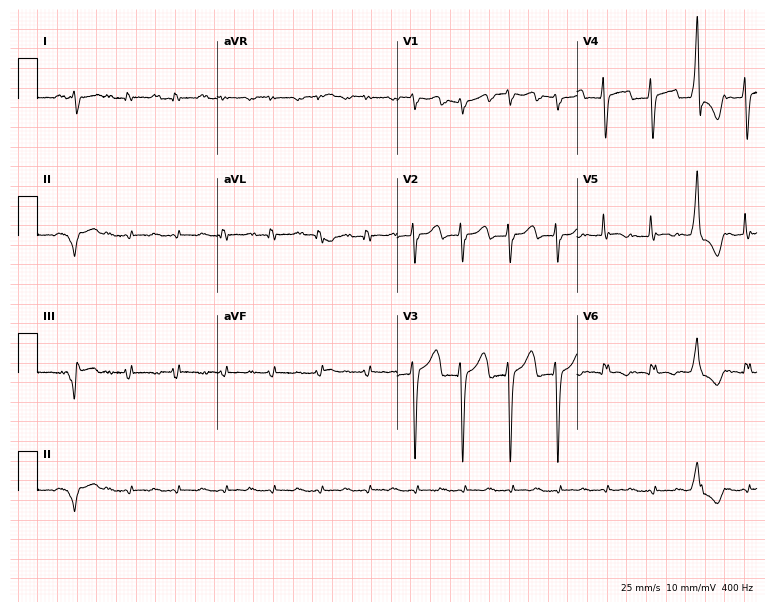
Standard 12-lead ECG recorded from a 58-year-old male patient. None of these six findings is recorded: first-degree AV block, right bundle branch block (RBBB), left bundle branch block (LBBB), sinus bradycardia, atrial fibrillation (AF), sinus tachycardia.